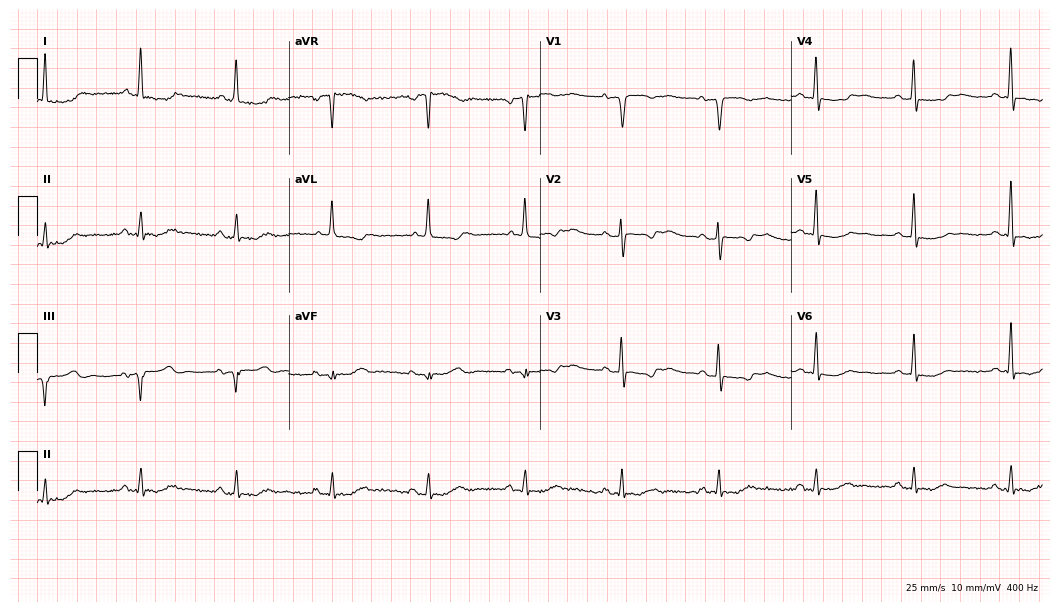
Resting 12-lead electrocardiogram (10.2-second recording at 400 Hz). Patient: a man, 71 years old. None of these six findings is recorded: first-degree AV block, right bundle branch block (RBBB), left bundle branch block (LBBB), sinus bradycardia, atrial fibrillation (AF), sinus tachycardia.